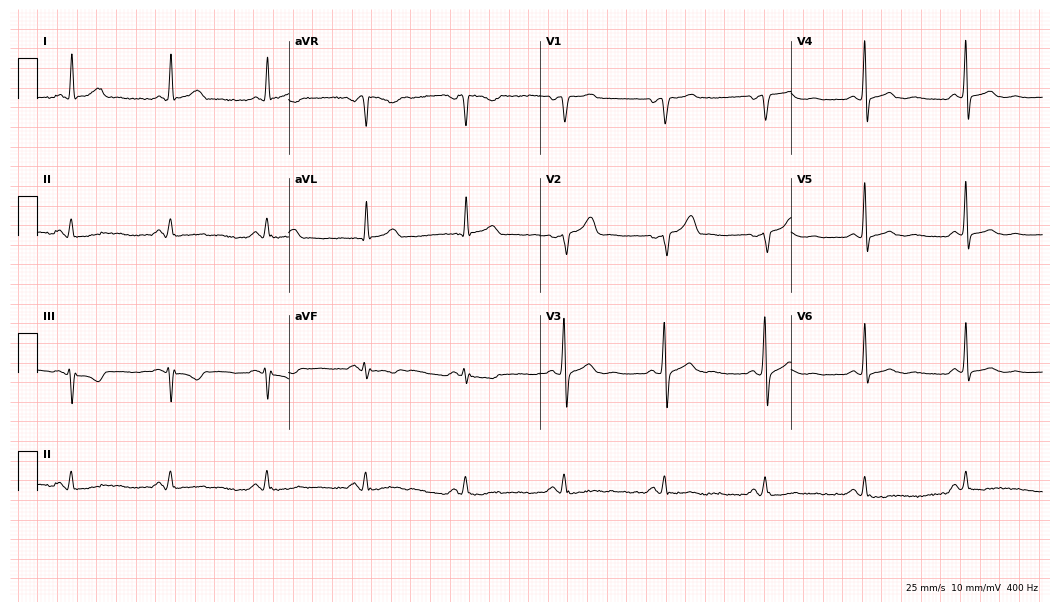
Resting 12-lead electrocardiogram. Patient: a 64-year-old male. None of these six findings is recorded: first-degree AV block, right bundle branch block, left bundle branch block, sinus bradycardia, atrial fibrillation, sinus tachycardia.